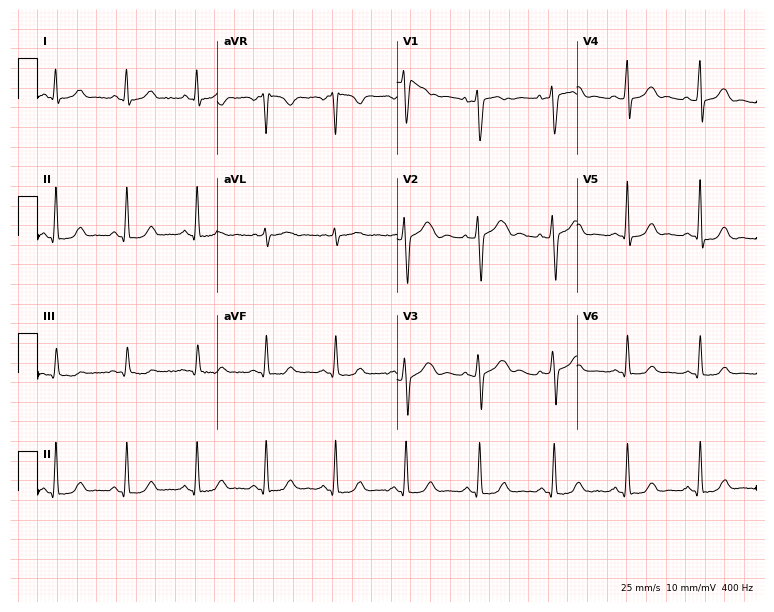
Standard 12-lead ECG recorded from a female, 42 years old (7.3-second recording at 400 Hz). None of these six findings is recorded: first-degree AV block, right bundle branch block, left bundle branch block, sinus bradycardia, atrial fibrillation, sinus tachycardia.